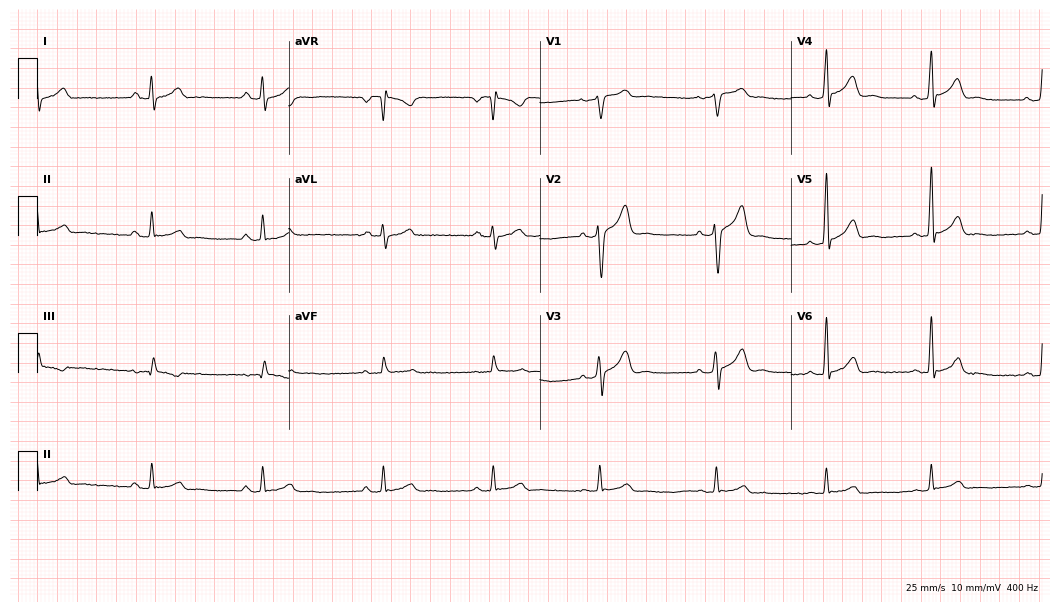
12-lead ECG from a man, 41 years old. Labelled as a normal ECG.